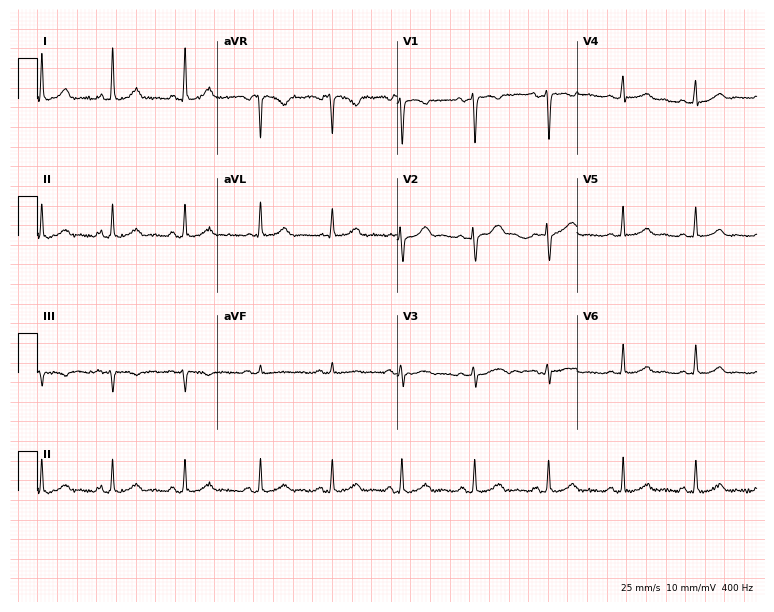
Electrocardiogram (7.3-second recording at 400 Hz), a female patient, 27 years old. Overall reading on record: normal ECG.